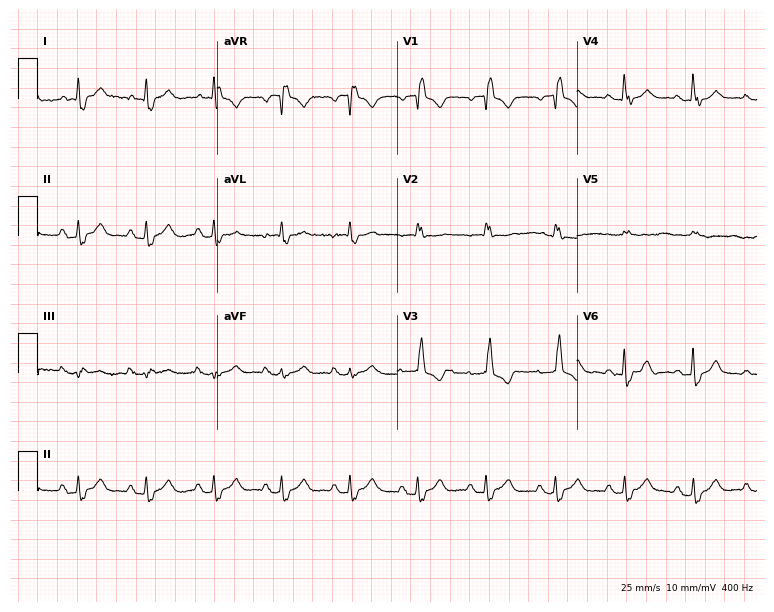
Electrocardiogram, a female, 77 years old. Of the six screened findings (first-degree AV block, right bundle branch block, left bundle branch block, sinus bradycardia, atrial fibrillation, sinus tachycardia), none is recorded.